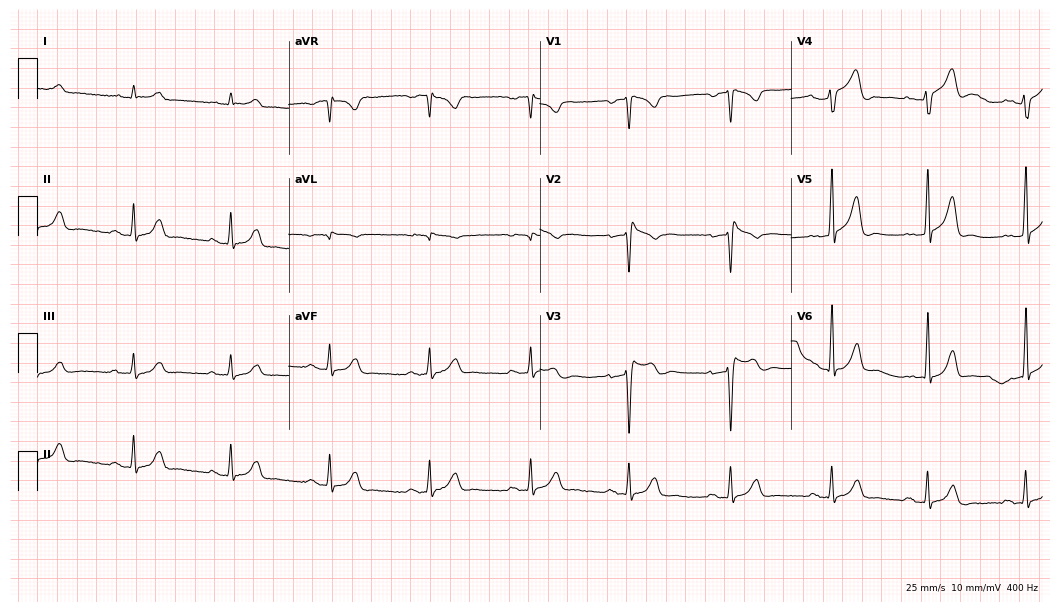
Electrocardiogram, a 59-year-old male. Of the six screened findings (first-degree AV block, right bundle branch block, left bundle branch block, sinus bradycardia, atrial fibrillation, sinus tachycardia), none is recorded. Other findings, if any, are not listed.